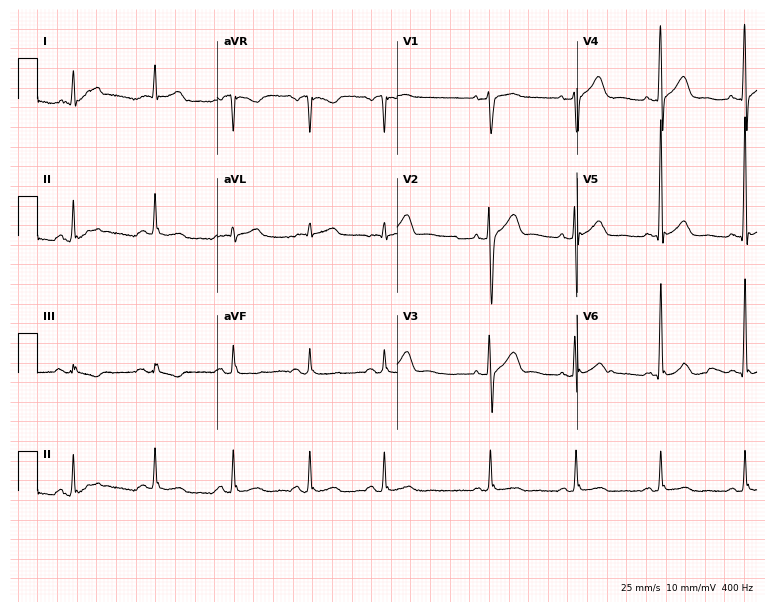
ECG (7.3-second recording at 400 Hz) — a 55-year-old male patient. Screened for six findings — first-degree AV block, right bundle branch block, left bundle branch block, sinus bradycardia, atrial fibrillation, sinus tachycardia — none is recorded.